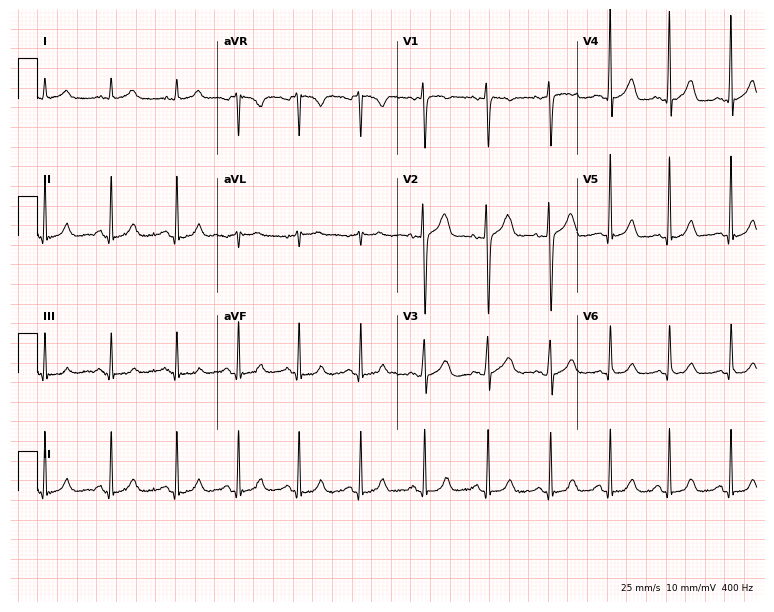
12-lead ECG (7.3-second recording at 400 Hz) from a 34-year-old female patient. Screened for six findings — first-degree AV block, right bundle branch block, left bundle branch block, sinus bradycardia, atrial fibrillation, sinus tachycardia — none is recorded.